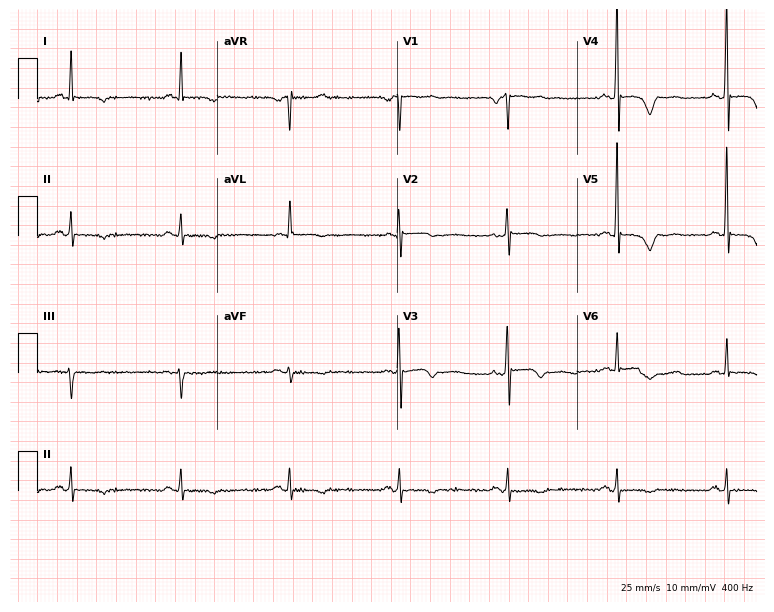
12-lead ECG from a man, 66 years old. No first-degree AV block, right bundle branch block, left bundle branch block, sinus bradycardia, atrial fibrillation or sinus tachycardia recorded for this tracing. Other findings, if any, are not listed.